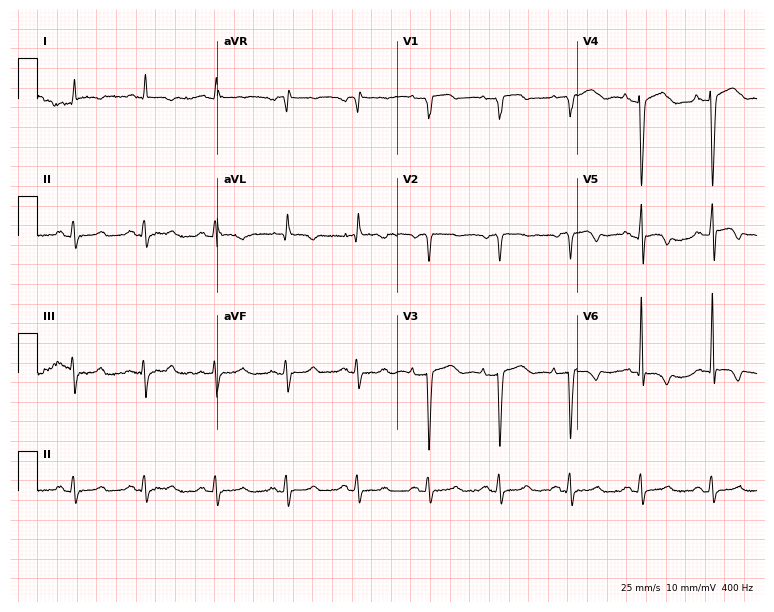
Resting 12-lead electrocardiogram (7.3-second recording at 400 Hz). Patient: a man, 70 years old. None of these six findings is recorded: first-degree AV block, right bundle branch block, left bundle branch block, sinus bradycardia, atrial fibrillation, sinus tachycardia.